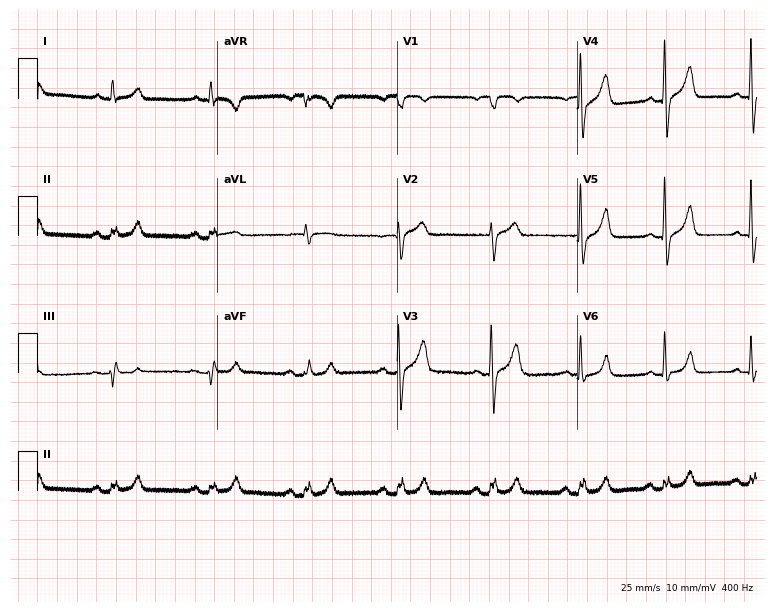
Electrocardiogram, an 81-year-old male patient. Overall reading on record: normal ECG.